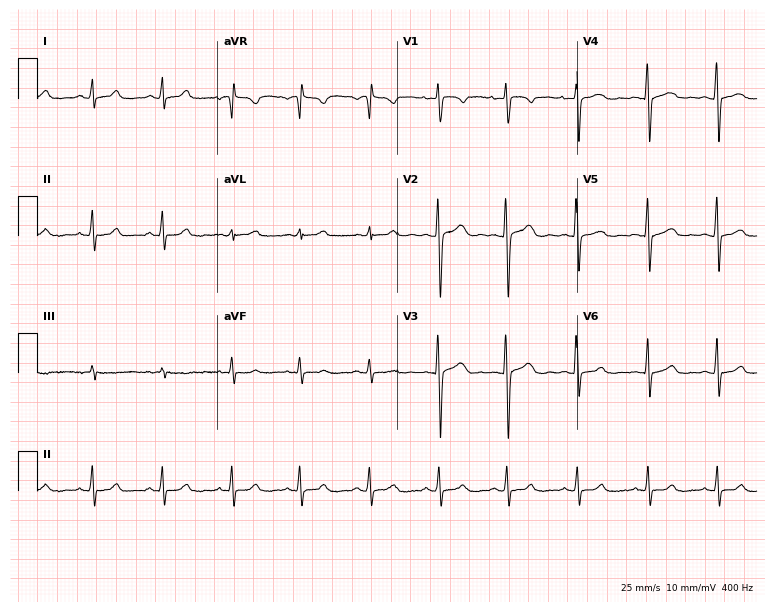
Electrocardiogram, a 33-year-old female patient. Overall reading on record: normal ECG.